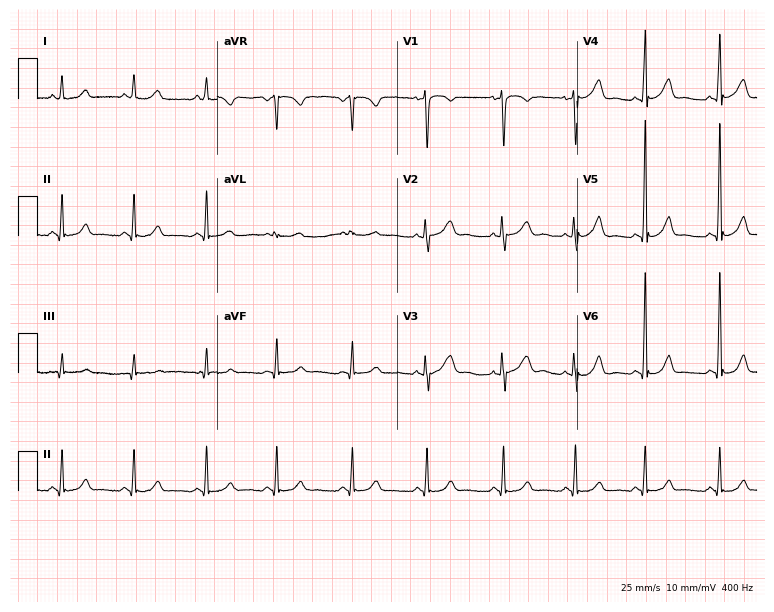
ECG (7.3-second recording at 400 Hz) — a female, 45 years old. Screened for six findings — first-degree AV block, right bundle branch block (RBBB), left bundle branch block (LBBB), sinus bradycardia, atrial fibrillation (AF), sinus tachycardia — none is recorded. Only these six findings were labelled.